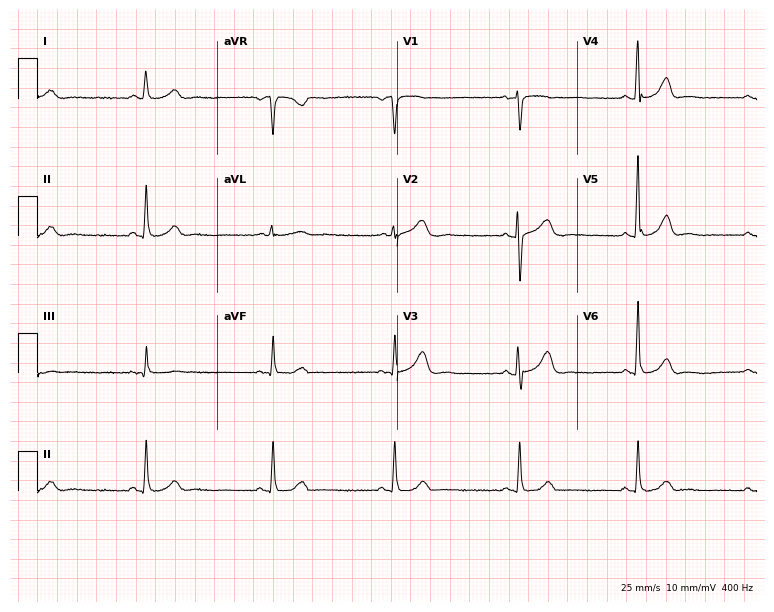
Standard 12-lead ECG recorded from a woman, 62 years old. The tracing shows sinus bradycardia (a sinus rate of 50 beats per minute or less).